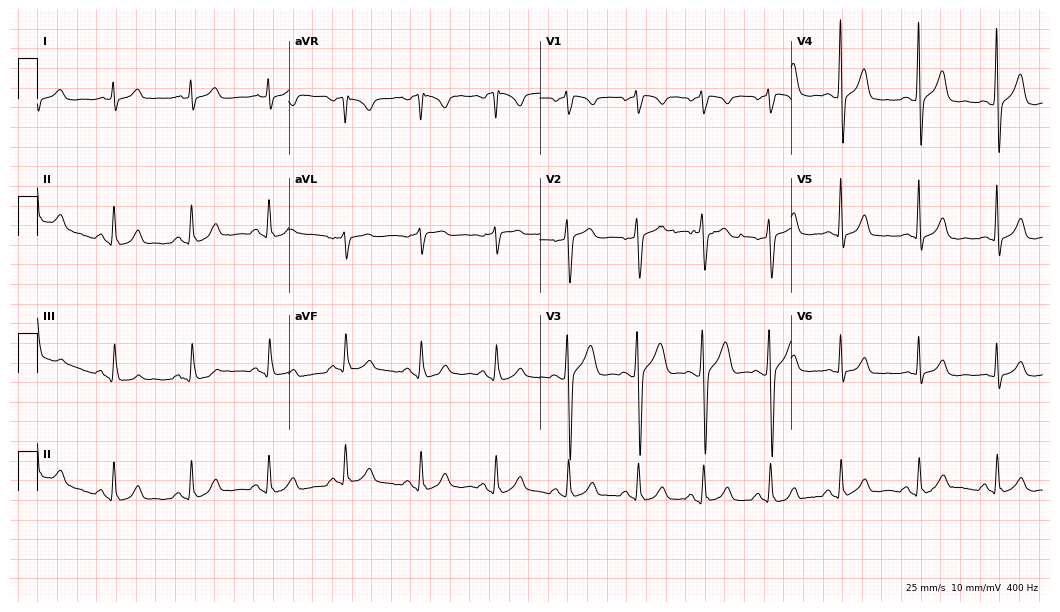
Electrocardiogram, a male patient, 55 years old. Of the six screened findings (first-degree AV block, right bundle branch block, left bundle branch block, sinus bradycardia, atrial fibrillation, sinus tachycardia), none is recorded. Only these six findings were labelled.